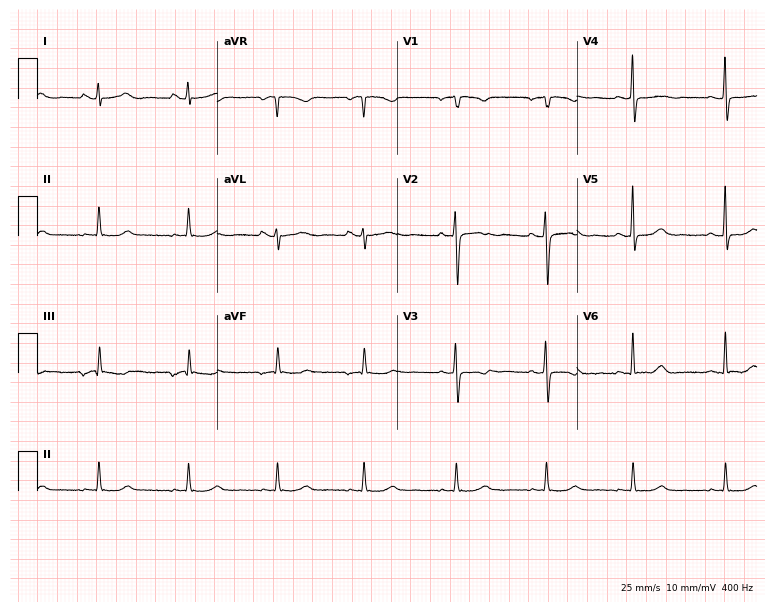
12-lead ECG from a female, 19 years old (7.3-second recording at 400 Hz). No first-degree AV block, right bundle branch block, left bundle branch block, sinus bradycardia, atrial fibrillation or sinus tachycardia recorded for this tracing.